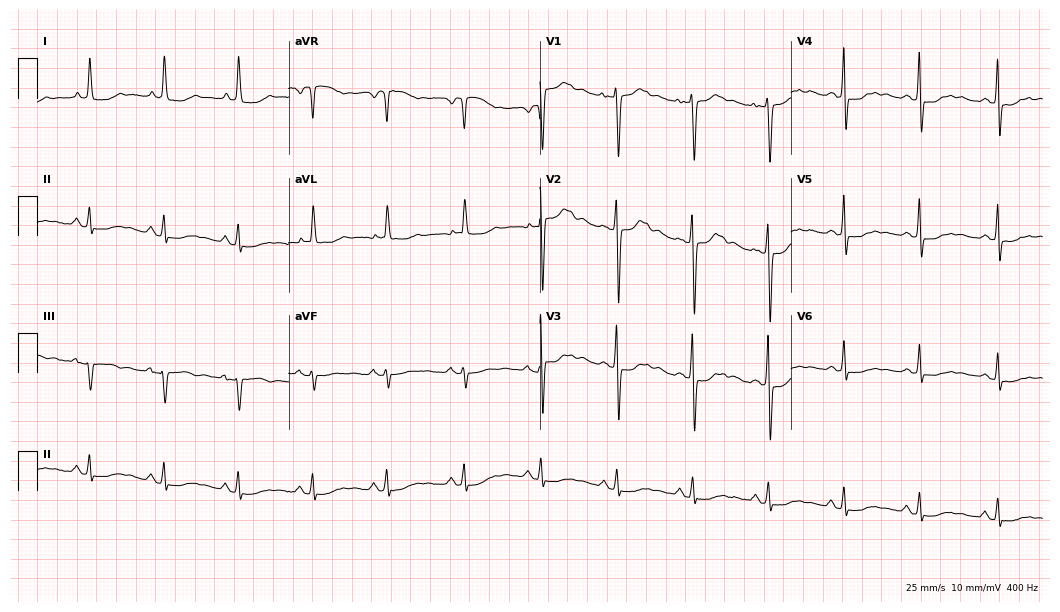
Electrocardiogram, a 78-year-old female patient. Of the six screened findings (first-degree AV block, right bundle branch block, left bundle branch block, sinus bradycardia, atrial fibrillation, sinus tachycardia), none is recorded.